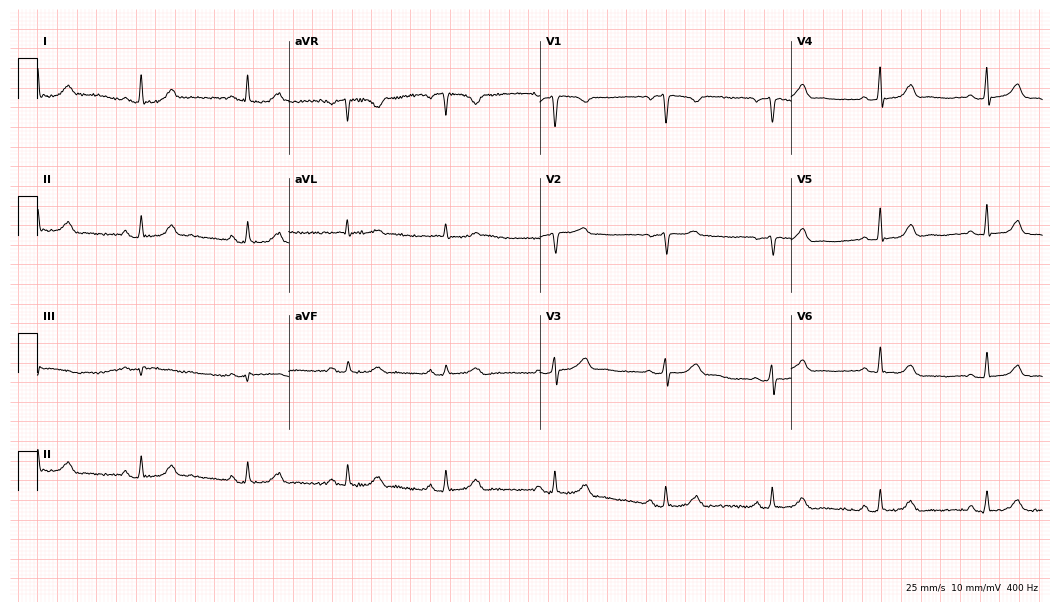
Resting 12-lead electrocardiogram (10.2-second recording at 400 Hz). Patient: a 36-year-old female. Read as a normal ECG.